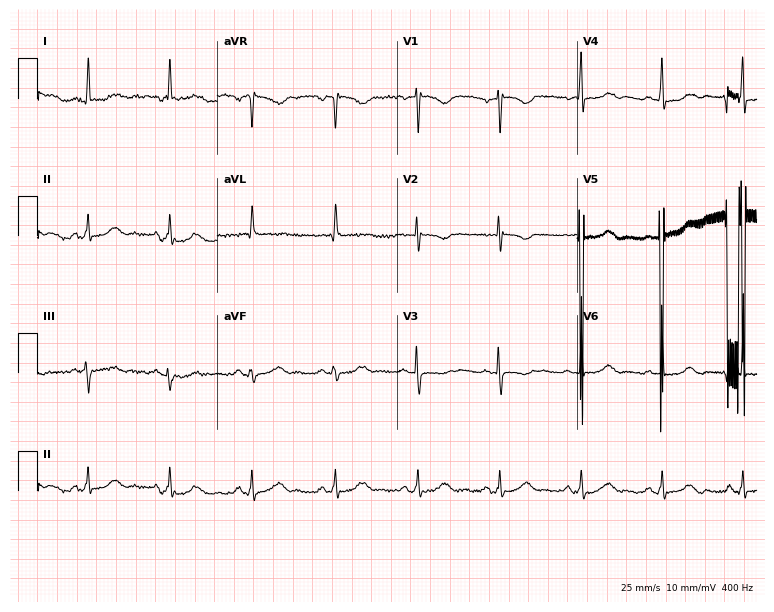
ECG — a female patient, 73 years old. Screened for six findings — first-degree AV block, right bundle branch block, left bundle branch block, sinus bradycardia, atrial fibrillation, sinus tachycardia — none is recorded.